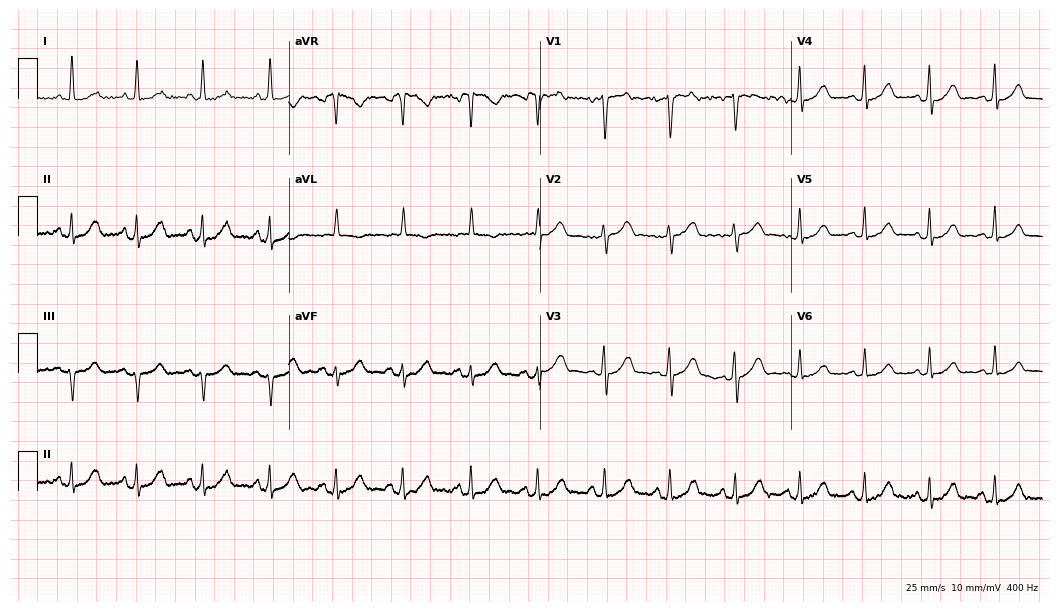
Electrocardiogram (10.2-second recording at 400 Hz), a female patient, 54 years old. Overall reading on record: normal ECG.